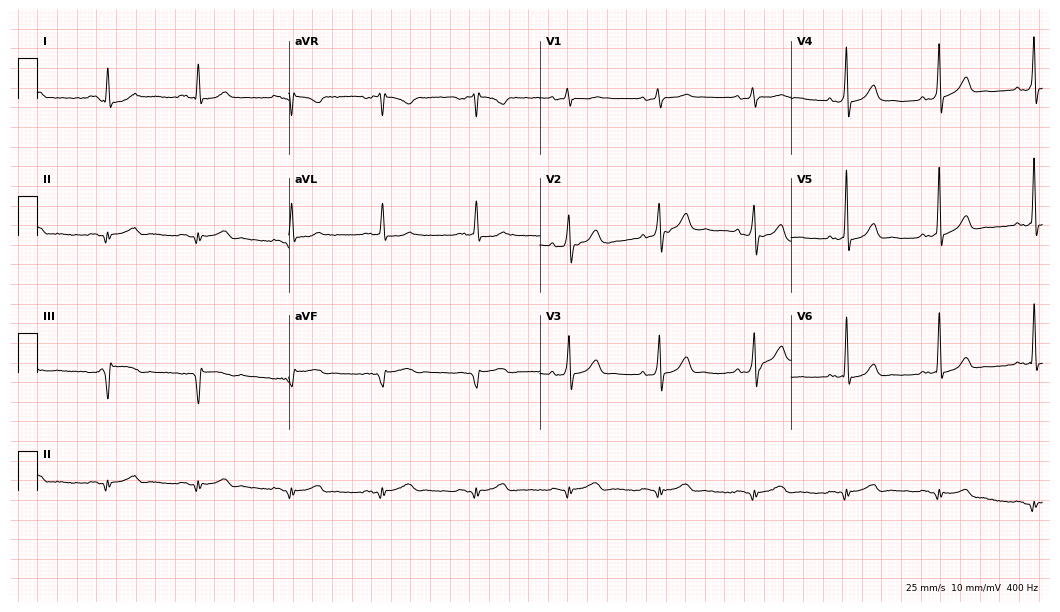
12-lead ECG from a male patient, 52 years old. No first-degree AV block, right bundle branch block, left bundle branch block, sinus bradycardia, atrial fibrillation or sinus tachycardia recorded for this tracing.